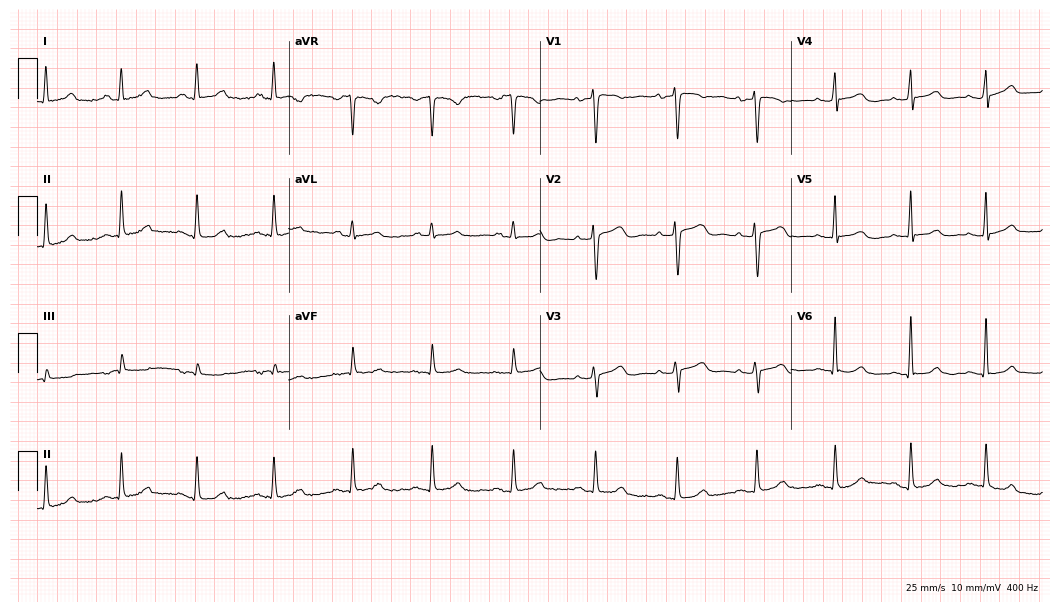
Standard 12-lead ECG recorded from a male, 50 years old (10.2-second recording at 400 Hz). Read as a normal ECG.